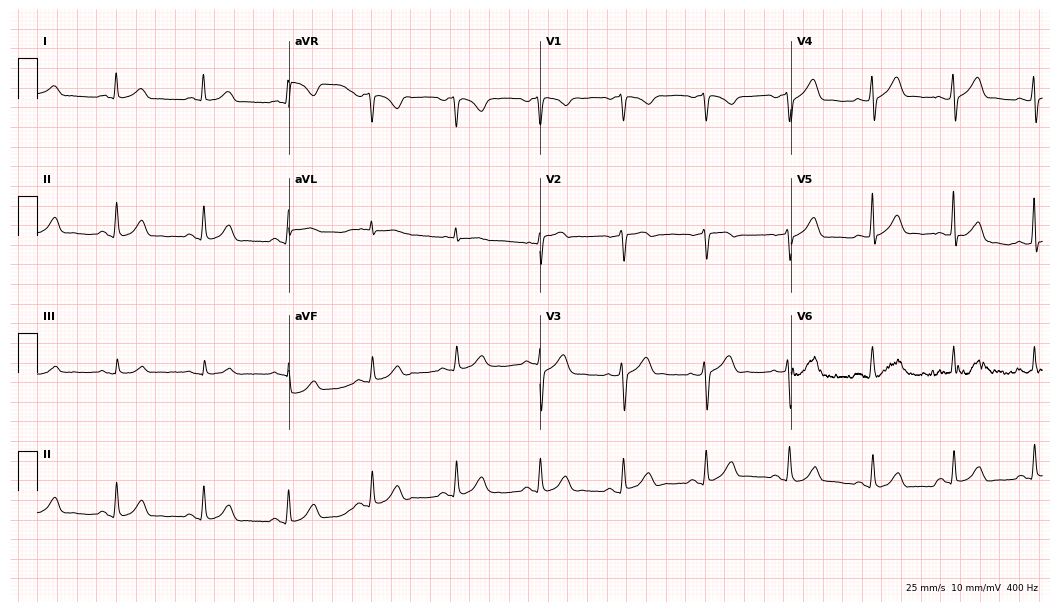
Resting 12-lead electrocardiogram. Patient: a 51-year-old male. Read as a normal ECG.